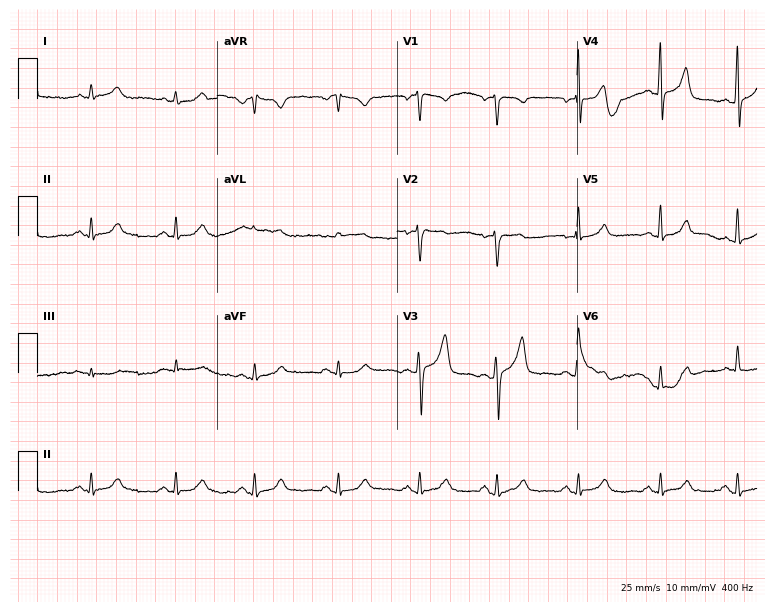
12-lead ECG (7.3-second recording at 400 Hz) from a female, 44 years old. Screened for six findings — first-degree AV block, right bundle branch block (RBBB), left bundle branch block (LBBB), sinus bradycardia, atrial fibrillation (AF), sinus tachycardia — none is recorded. Only these six findings were labelled.